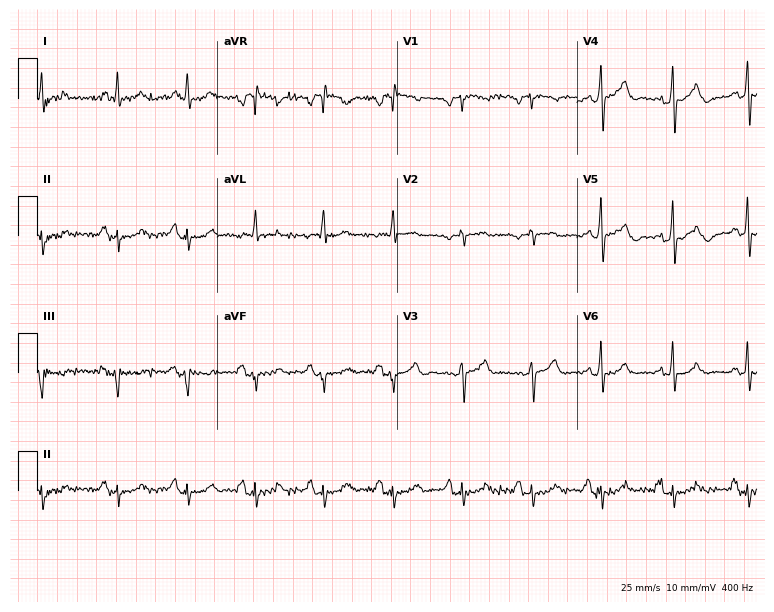
Standard 12-lead ECG recorded from a male, 69 years old. None of these six findings is recorded: first-degree AV block, right bundle branch block (RBBB), left bundle branch block (LBBB), sinus bradycardia, atrial fibrillation (AF), sinus tachycardia.